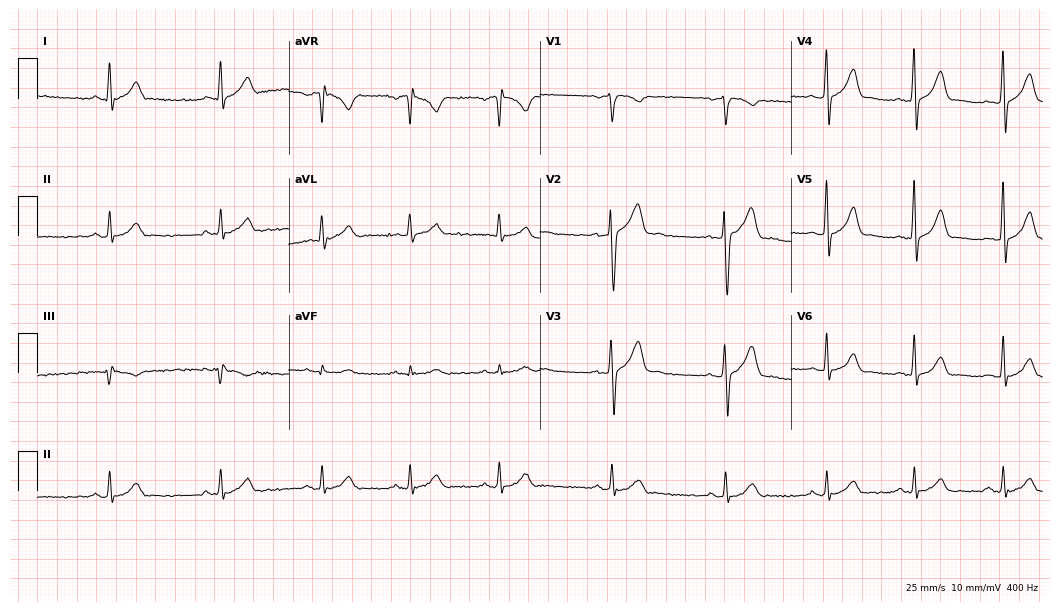
12-lead ECG from a 24-year-old male. Labelled as a normal ECG.